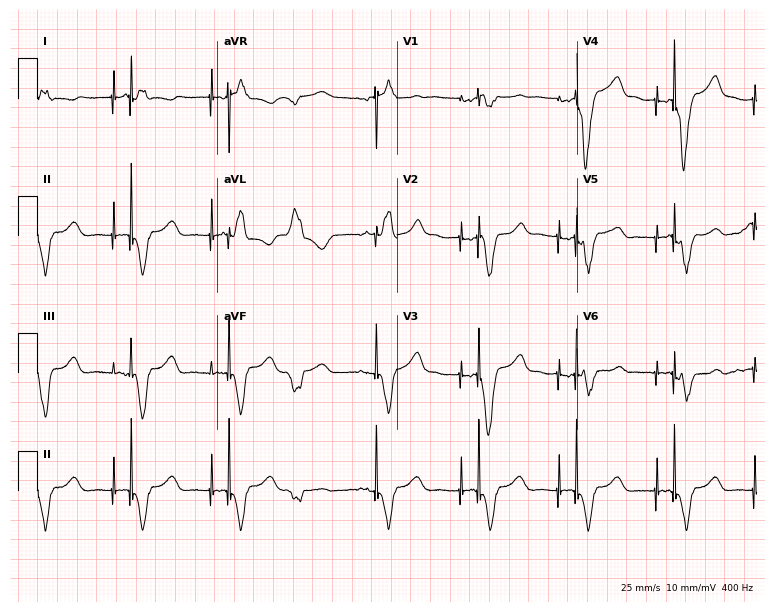
12-lead ECG (7.3-second recording at 400 Hz) from a woman, 57 years old. Screened for six findings — first-degree AV block, right bundle branch block (RBBB), left bundle branch block (LBBB), sinus bradycardia, atrial fibrillation (AF), sinus tachycardia — none is recorded.